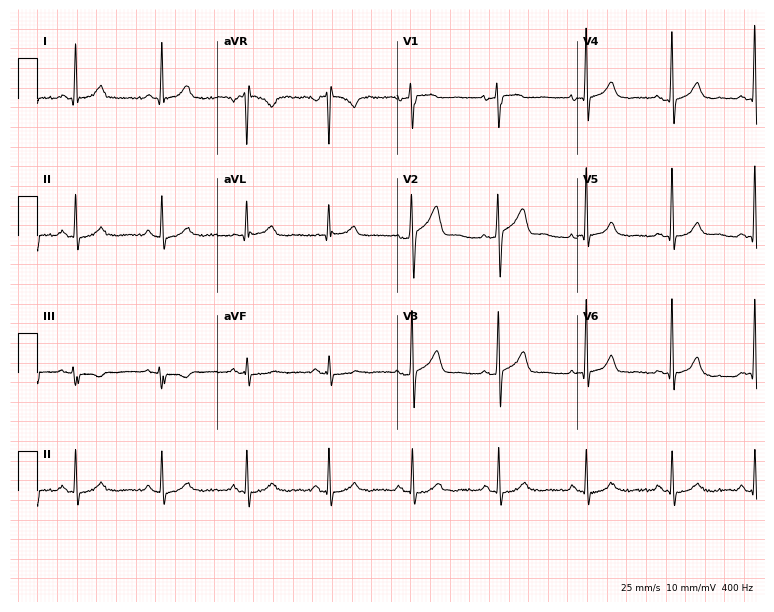
ECG — a 51-year-old male patient. Screened for six findings — first-degree AV block, right bundle branch block, left bundle branch block, sinus bradycardia, atrial fibrillation, sinus tachycardia — none is recorded.